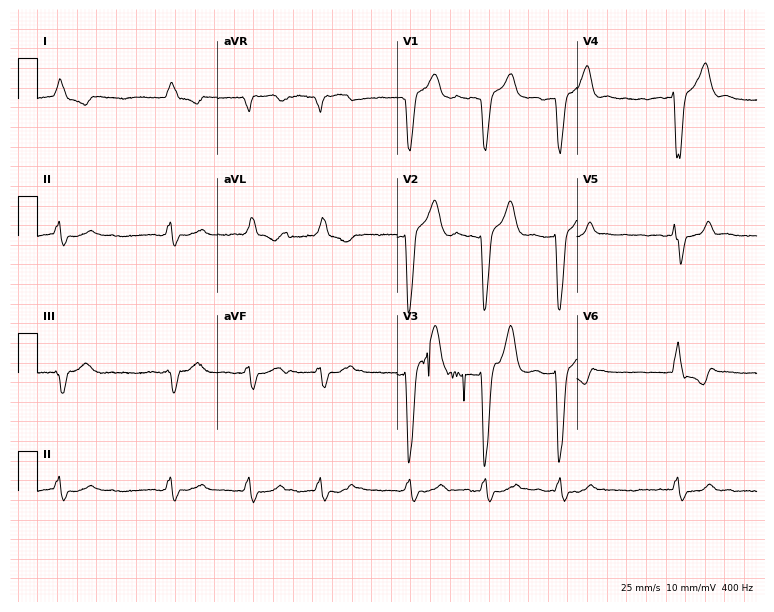
Resting 12-lead electrocardiogram (7.3-second recording at 400 Hz). Patient: a 73-year-old male. The tracing shows left bundle branch block (LBBB), atrial fibrillation (AF).